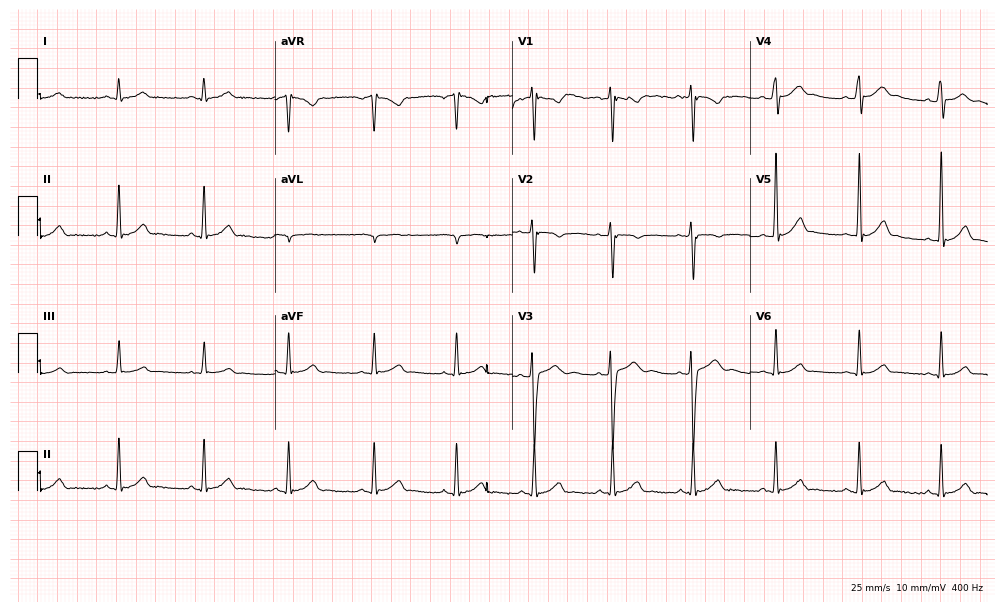
Resting 12-lead electrocardiogram (9.7-second recording at 400 Hz). Patient: a male, 17 years old. None of these six findings is recorded: first-degree AV block, right bundle branch block, left bundle branch block, sinus bradycardia, atrial fibrillation, sinus tachycardia.